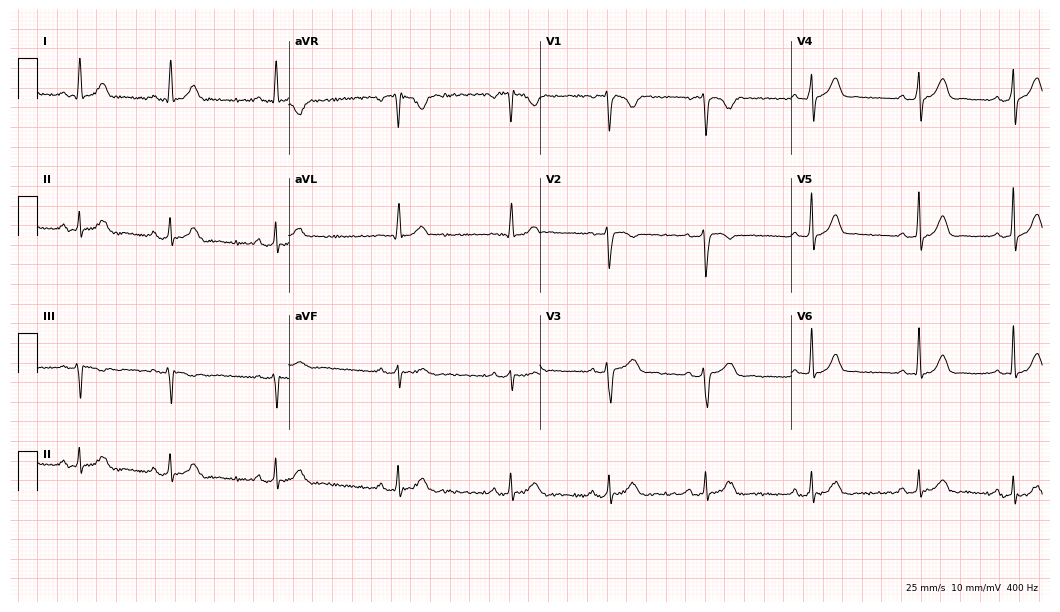
12-lead ECG from a woman, 37 years old. Recorded interpretation: within normal limits.